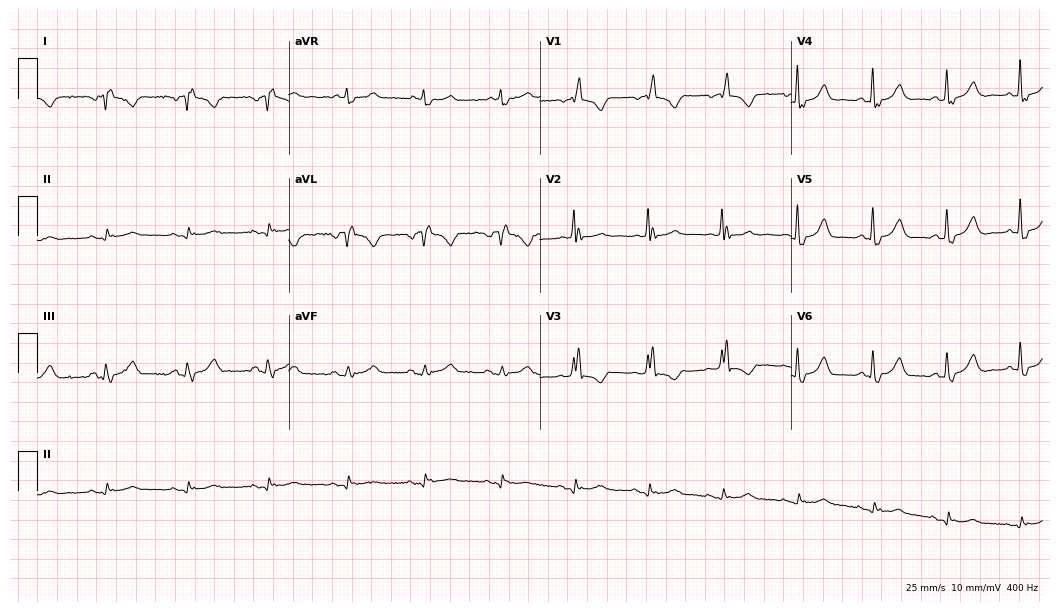
Electrocardiogram, a female, 83 years old. Interpretation includes right bundle branch block.